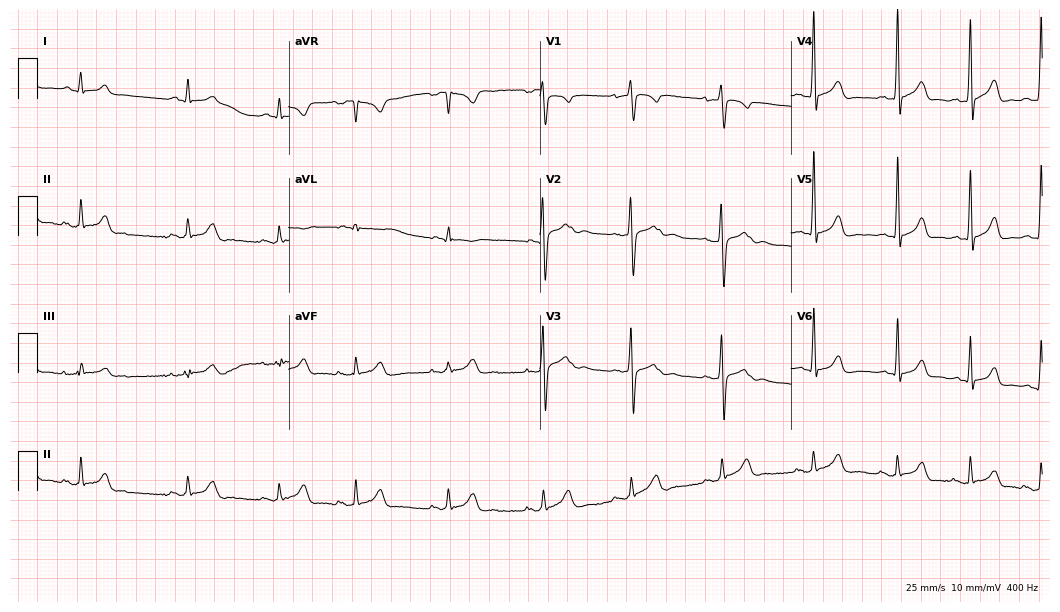
Resting 12-lead electrocardiogram (10.2-second recording at 400 Hz). Patient: a male, 23 years old. Read as a normal ECG.